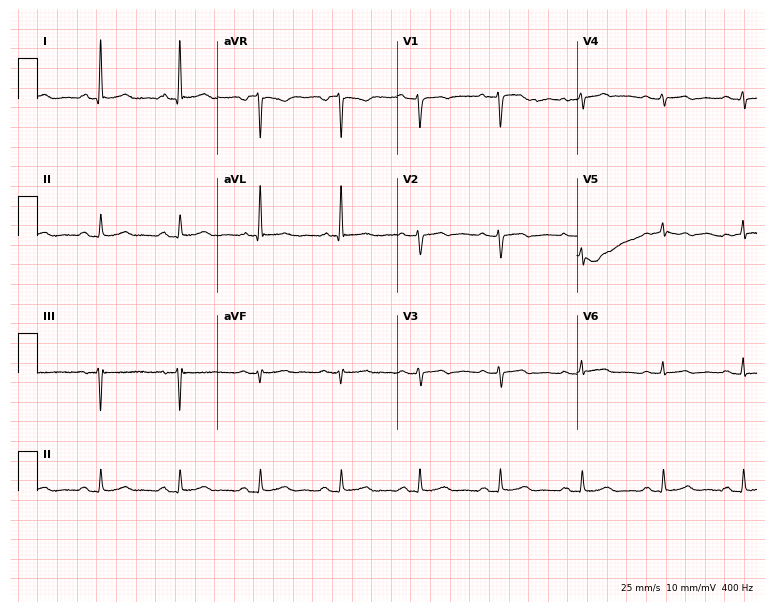
Standard 12-lead ECG recorded from a 54-year-old female patient. None of these six findings is recorded: first-degree AV block, right bundle branch block, left bundle branch block, sinus bradycardia, atrial fibrillation, sinus tachycardia.